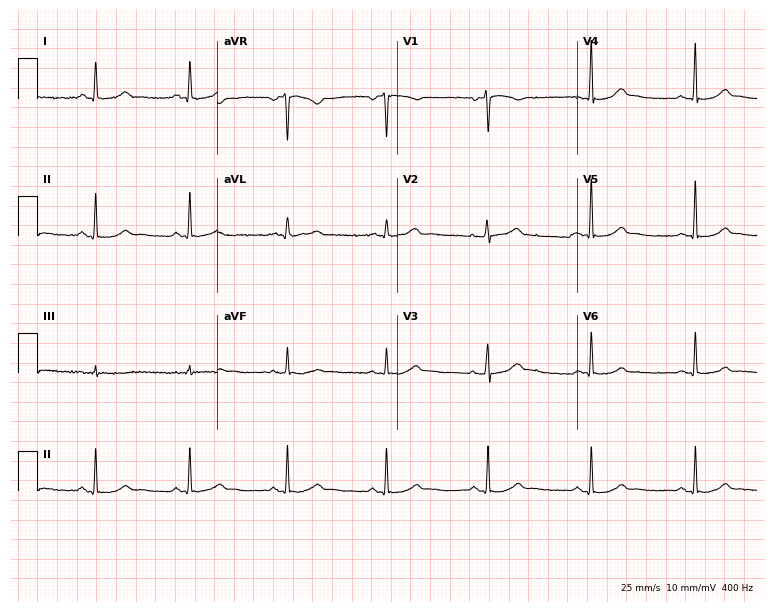
12-lead ECG from a 51-year-old woman (7.3-second recording at 400 Hz). Recorded interpretation: within normal limits.